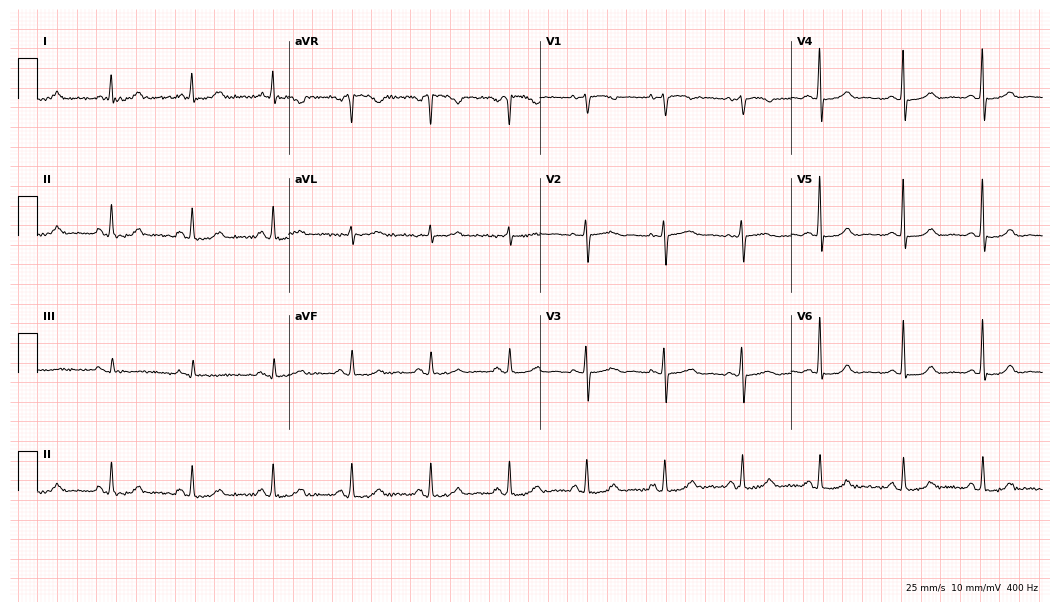
12-lead ECG from a female patient, 73 years old. No first-degree AV block, right bundle branch block, left bundle branch block, sinus bradycardia, atrial fibrillation or sinus tachycardia recorded for this tracing.